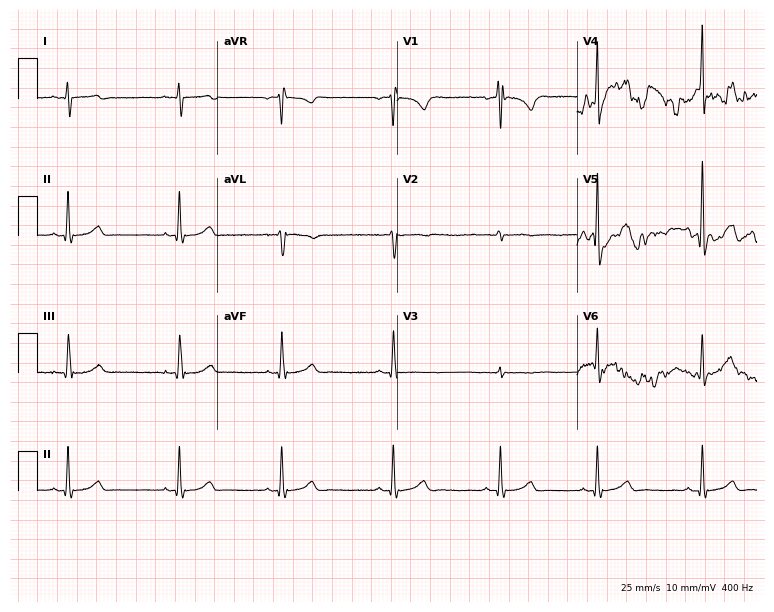
Electrocardiogram, a 21-year-old male patient. Overall reading on record: normal ECG.